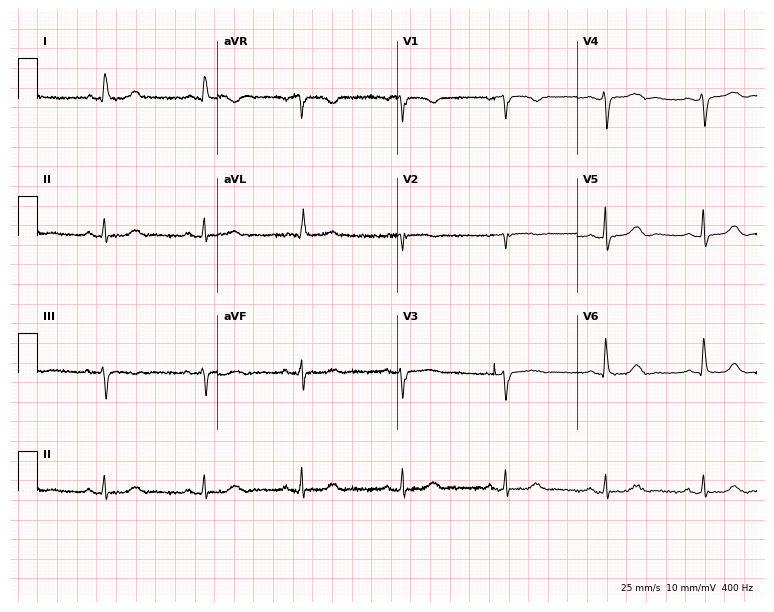
12-lead ECG from a female, 69 years old (7.3-second recording at 400 Hz). No first-degree AV block, right bundle branch block, left bundle branch block, sinus bradycardia, atrial fibrillation or sinus tachycardia recorded for this tracing.